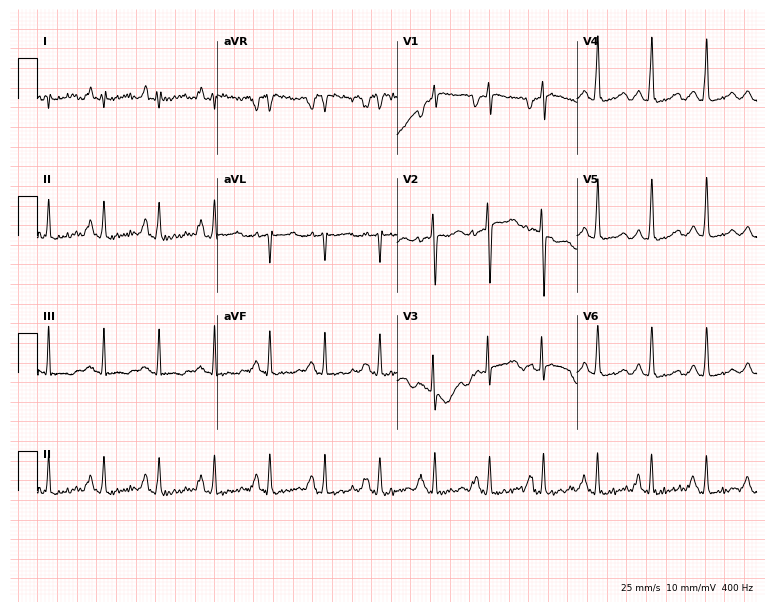
Standard 12-lead ECG recorded from a 30-year-old female. The tracing shows sinus tachycardia (a sinus rate of 100 beats per minute or more).